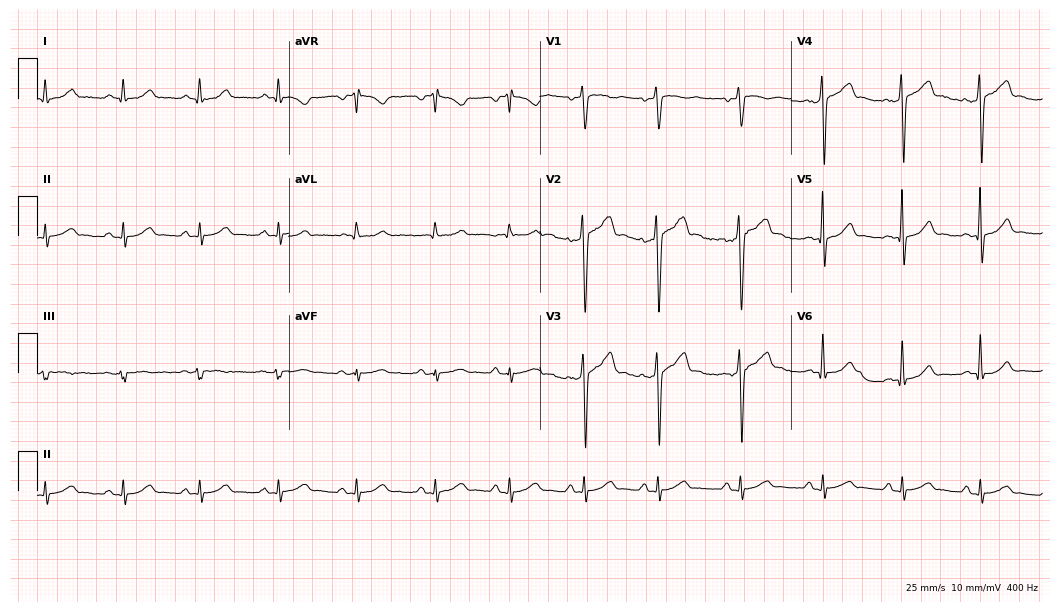
12-lead ECG from a 26-year-old man. Recorded interpretation: within normal limits.